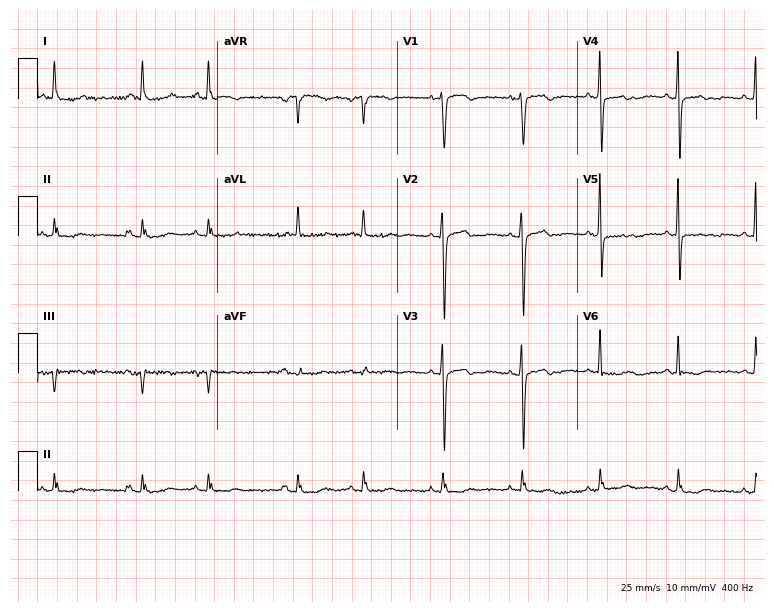
Electrocardiogram (7.3-second recording at 400 Hz), an 82-year-old female patient. Of the six screened findings (first-degree AV block, right bundle branch block, left bundle branch block, sinus bradycardia, atrial fibrillation, sinus tachycardia), none is recorded. Findings outside these six are not listed.